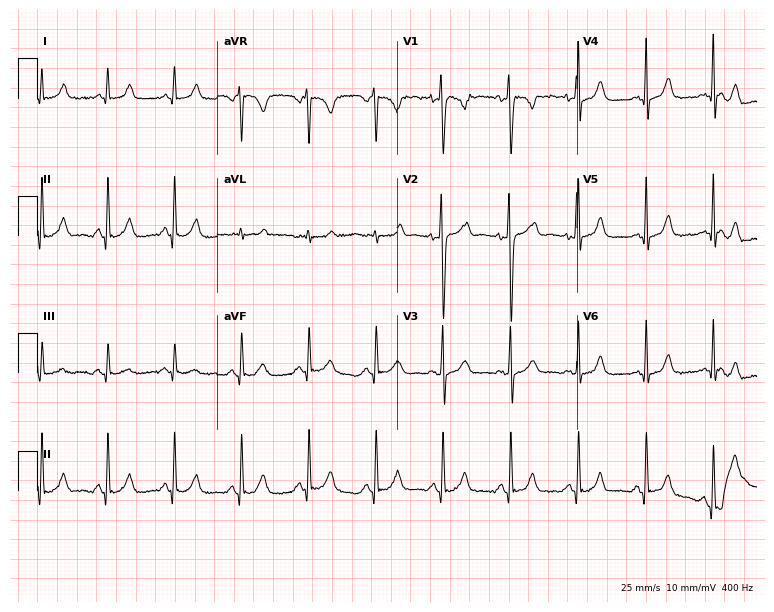
Standard 12-lead ECG recorded from a female, 26 years old. Read as a normal ECG.